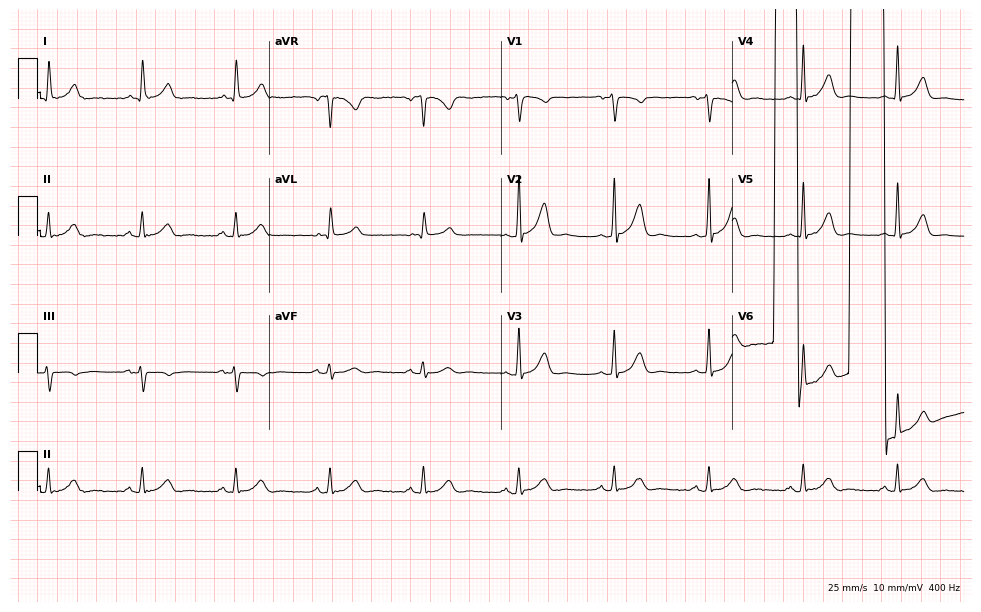
12-lead ECG (9.4-second recording at 400 Hz) from a 68-year-old male. Labelled as a normal ECG.